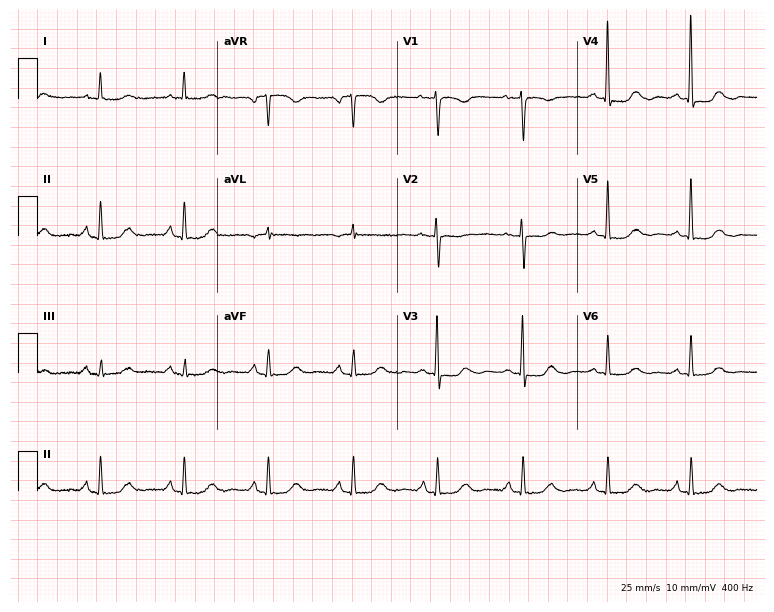
Standard 12-lead ECG recorded from a 74-year-old female patient (7.3-second recording at 400 Hz). None of these six findings is recorded: first-degree AV block, right bundle branch block, left bundle branch block, sinus bradycardia, atrial fibrillation, sinus tachycardia.